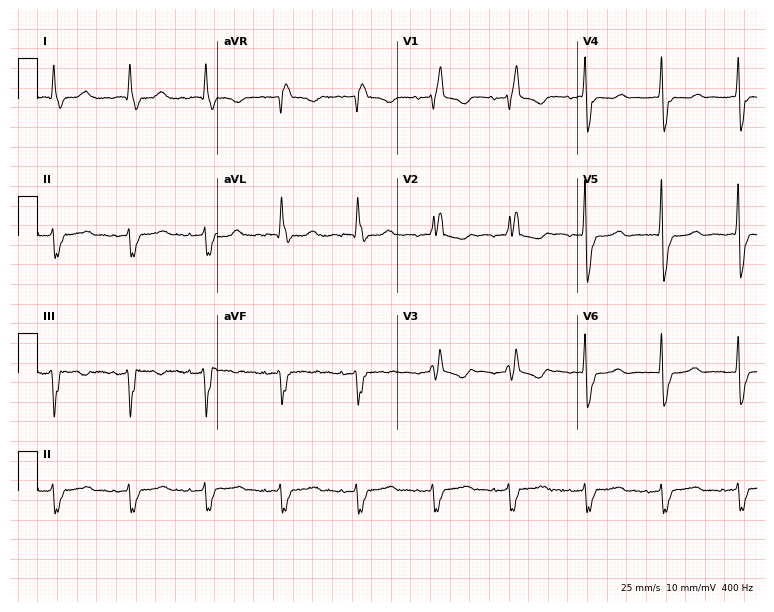
Electrocardiogram, a 73-year-old female. Interpretation includes right bundle branch block.